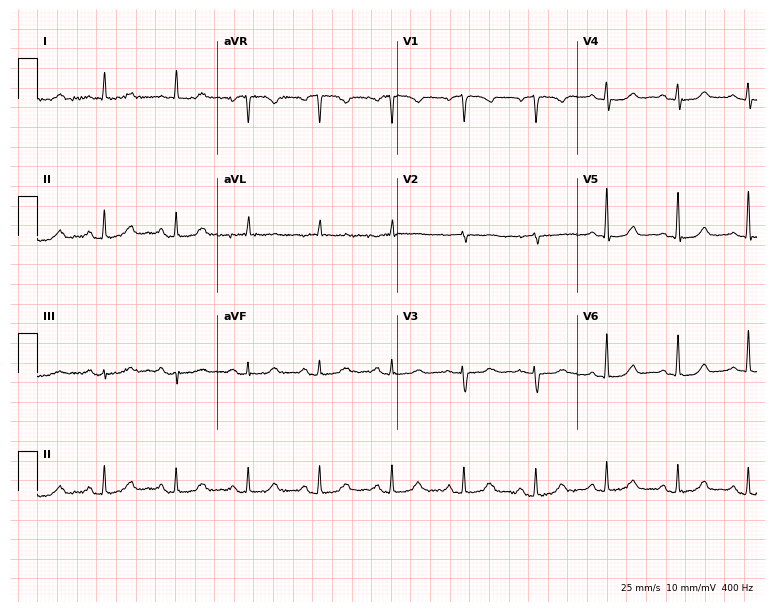
12-lead ECG (7.3-second recording at 400 Hz) from a woman, 73 years old. Screened for six findings — first-degree AV block, right bundle branch block, left bundle branch block, sinus bradycardia, atrial fibrillation, sinus tachycardia — none is recorded. Other findings, if any, are not listed.